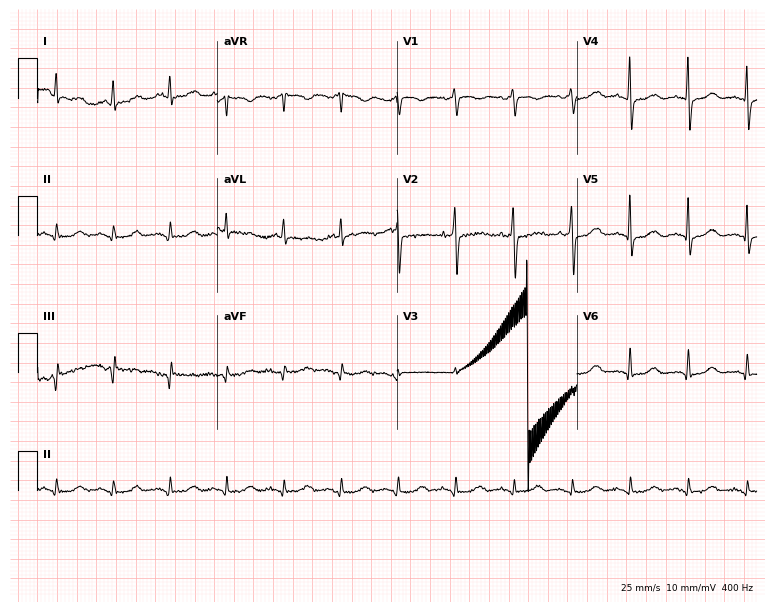
12-lead ECG (7.3-second recording at 400 Hz) from a woman, 83 years old. Screened for six findings — first-degree AV block, right bundle branch block, left bundle branch block, sinus bradycardia, atrial fibrillation, sinus tachycardia — none is recorded.